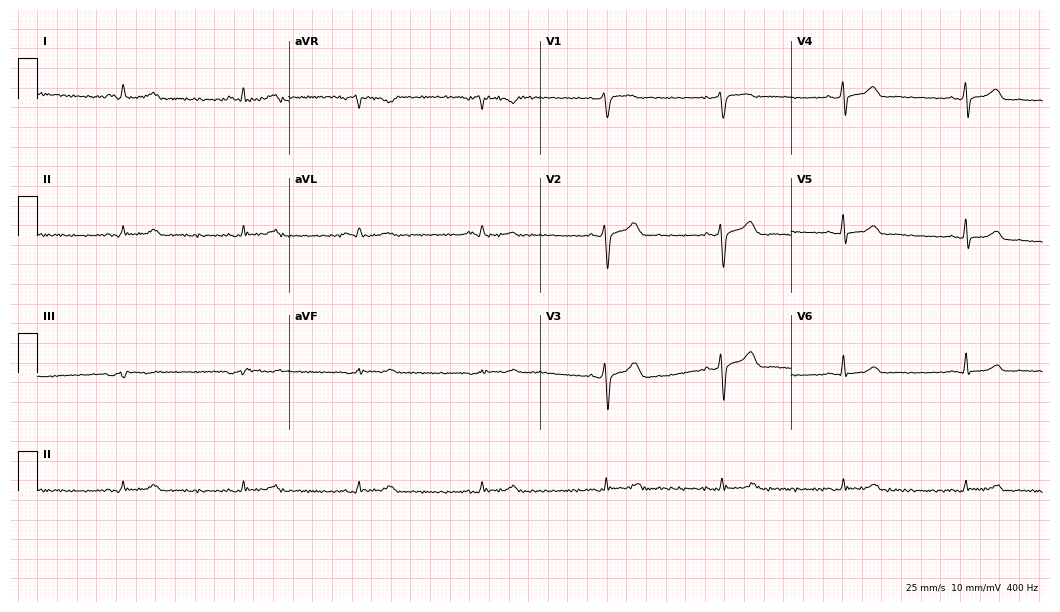
12-lead ECG from a male patient, 61 years old. Recorded interpretation: within normal limits.